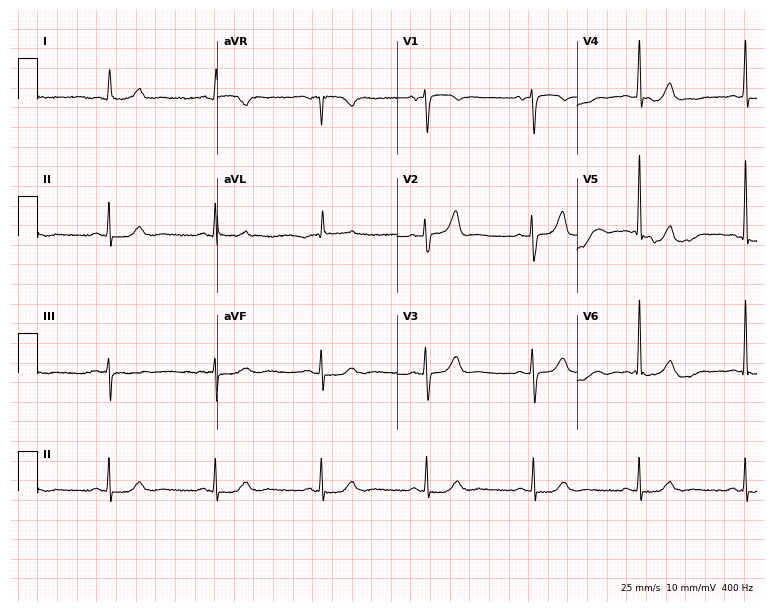
Standard 12-lead ECG recorded from a female, 85 years old (7.3-second recording at 400 Hz). Read as a normal ECG.